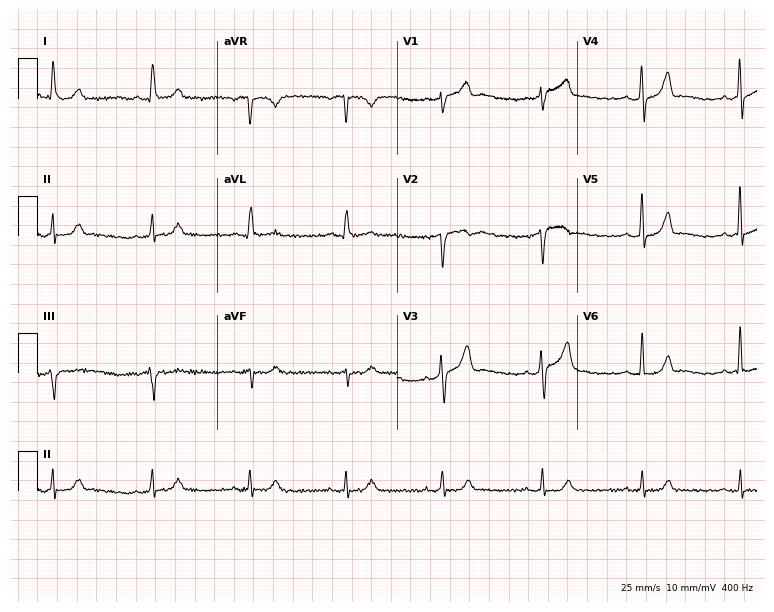
12-lead ECG from a 68-year-old woman. No first-degree AV block, right bundle branch block (RBBB), left bundle branch block (LBBB), sinus bradycardia, atrial fibrillation (AF) or sinus tachycardia recorded for this tracing.